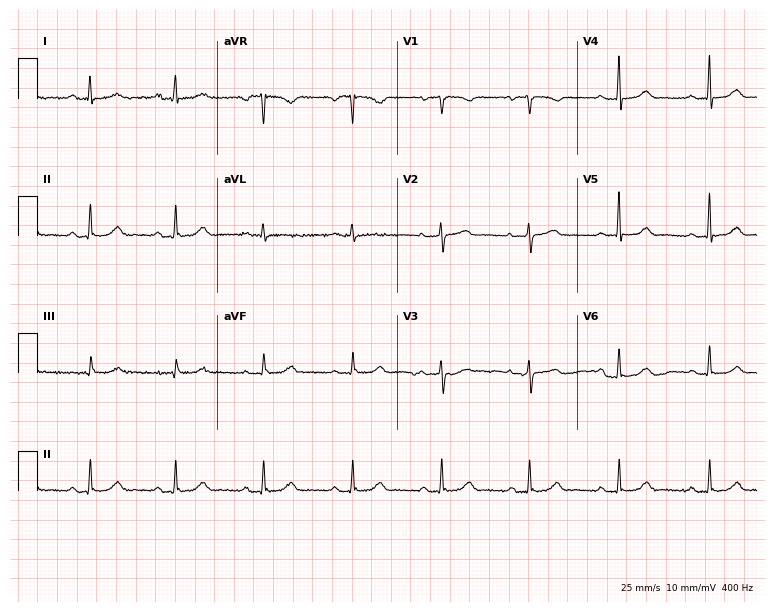
ECG — a 72-year-old man. Labelled as a normal ECG.